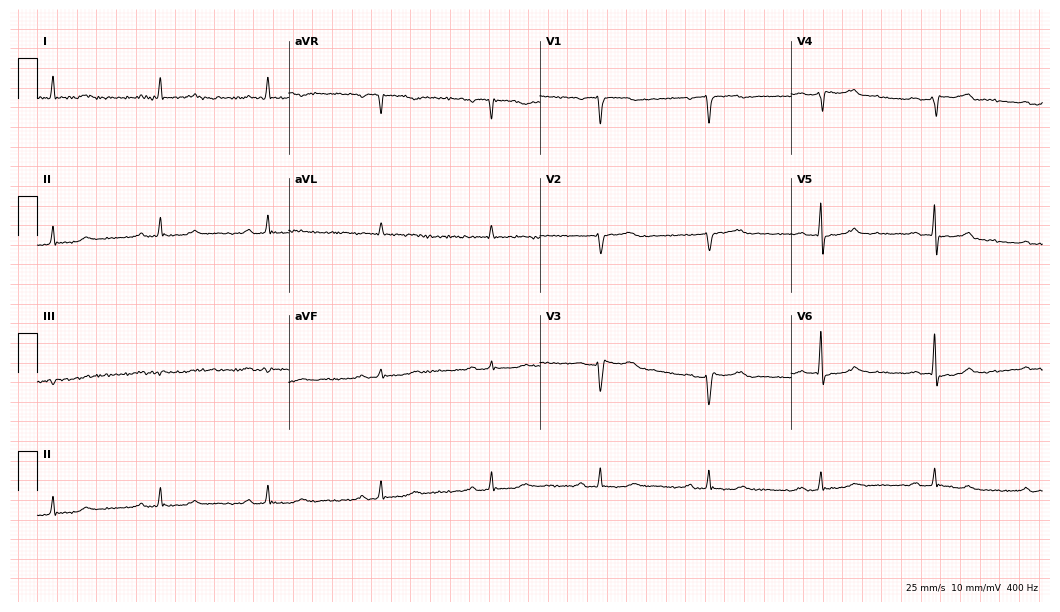
12-lead ECG (10.2-second recording at 400 Hz) from a 68-year-old male. Screened for six findings — first-degree AV block, right bundle branch block, left bundle branch block, sinus bradycardia, atrial fibrillation, sinus tachycardia — none is recorded. Only these six findings were labelled.